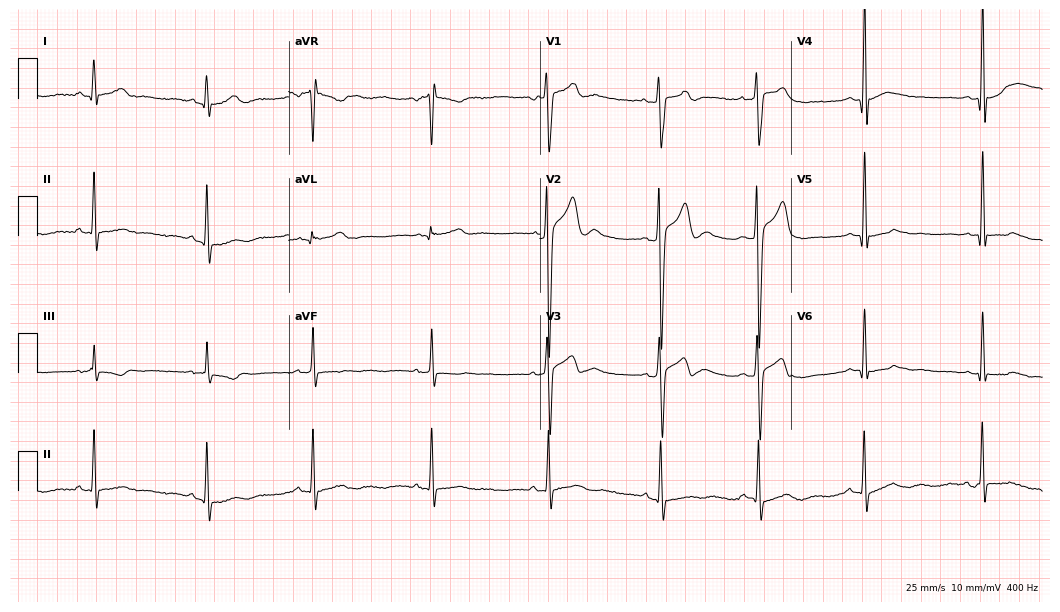
ECG (10.2-second recording at 400 Hz) — a male, 18 years old. Screened for six findings — first-degree AV block, right bundle branch block (RBBB), left bundle branch block (LBBB), sinus bradycardia, atrial fibrillation (AF), sinus tachycardia — none is recorded. Other findings, if any, are not listed.